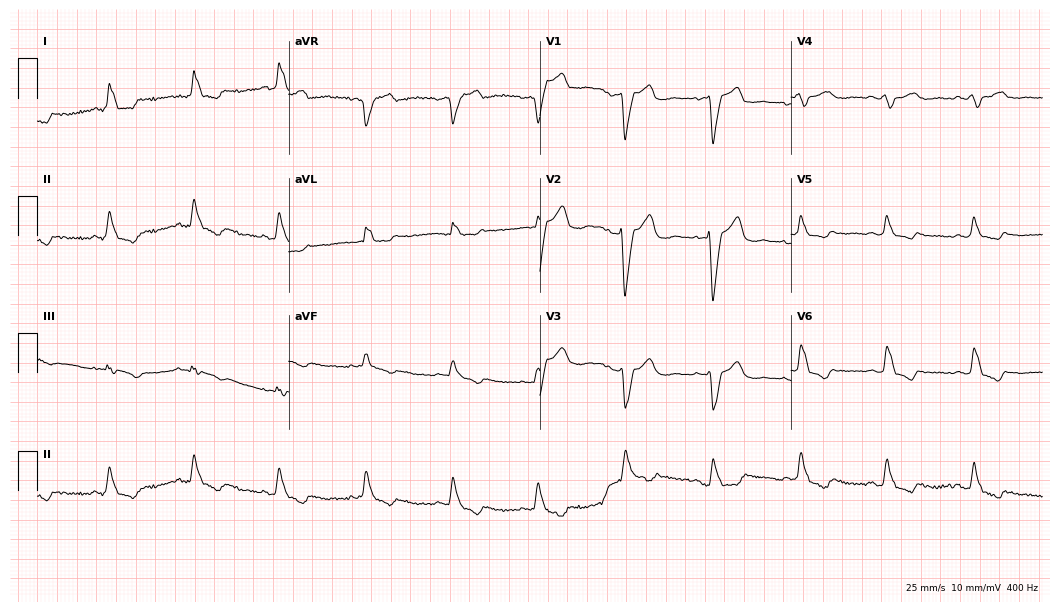
12-lead ECG from a female patient, 66 years old. Findings include left bundle branch block.